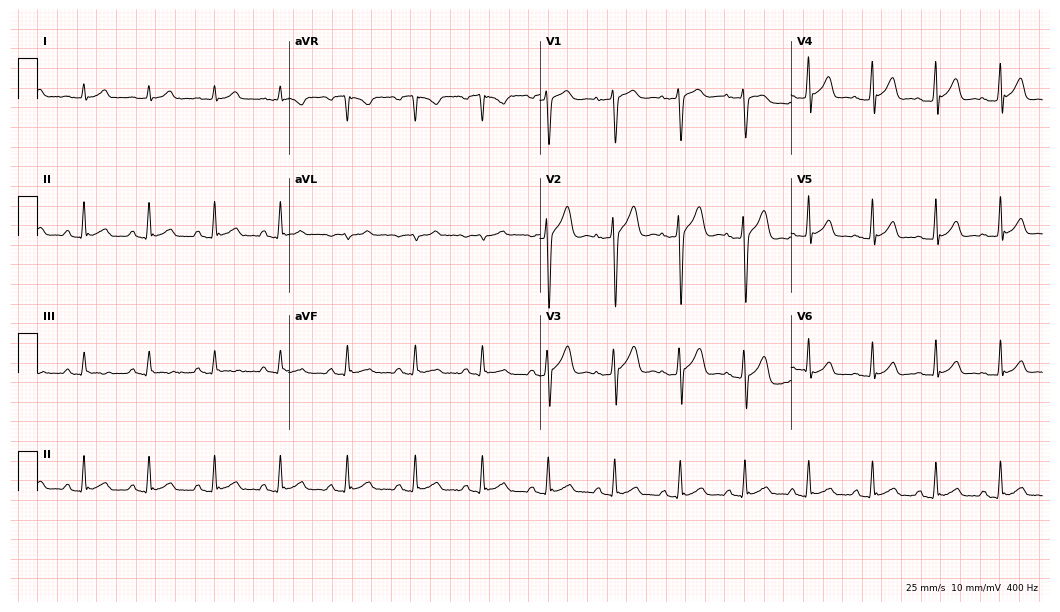
Resting 12-lead electrocardiogram. Patient: a female, 37 years old. Read as a normal ECG.